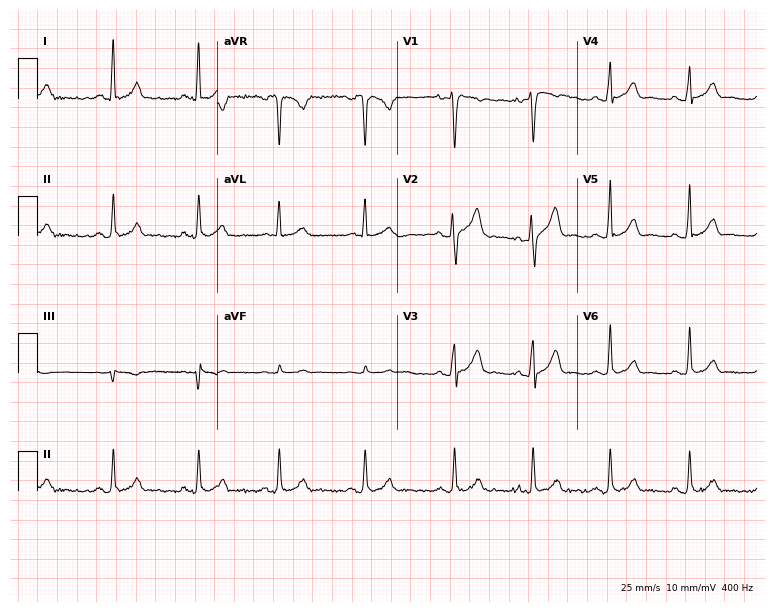
Resting 12-lead electrocardiogram. Patient: a man, 28 years old. Read as a normal ECG.